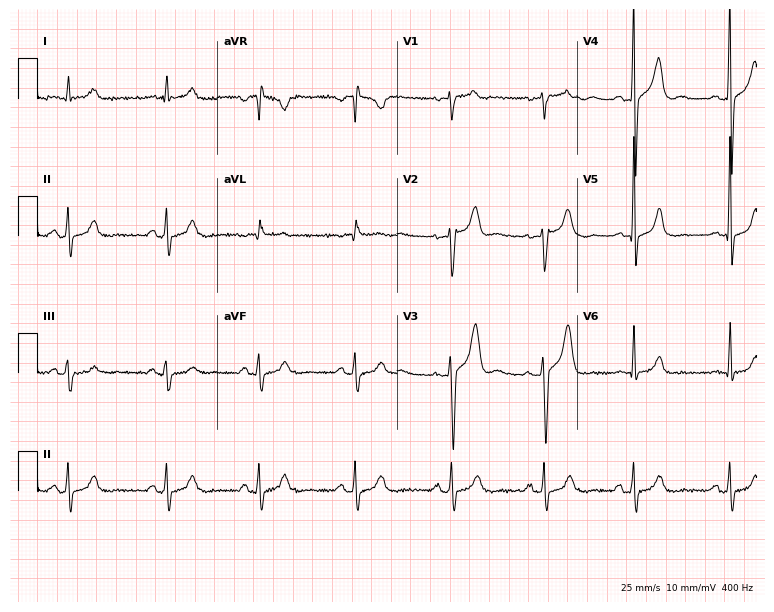
Standard 12-lead ECG recorded from a man, 48 years old. Read as a normal ECG.